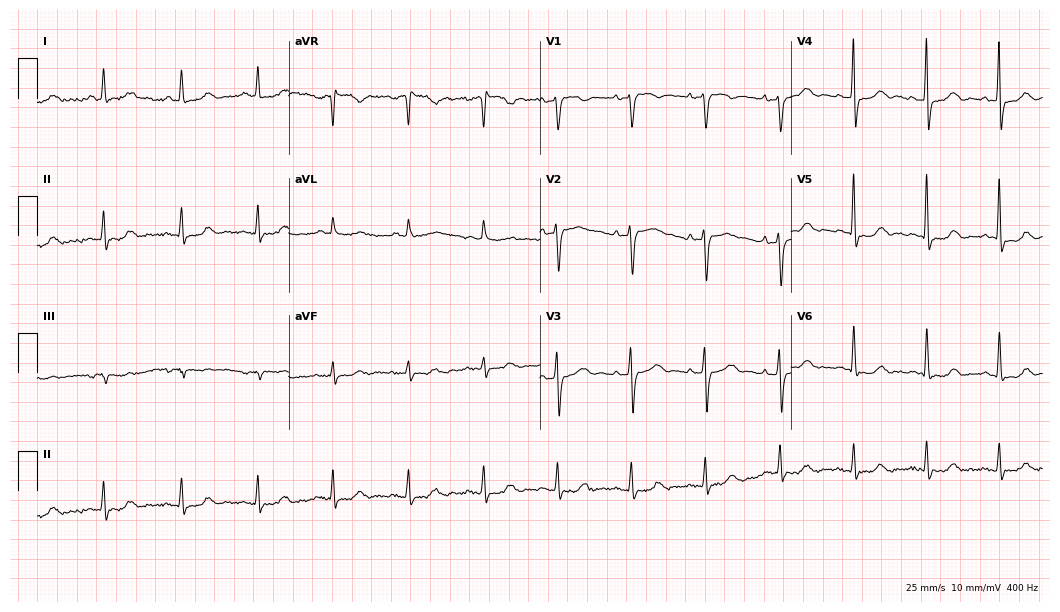
12-lead ECG from a 69-year-old female. Labelled as a normal ECG.